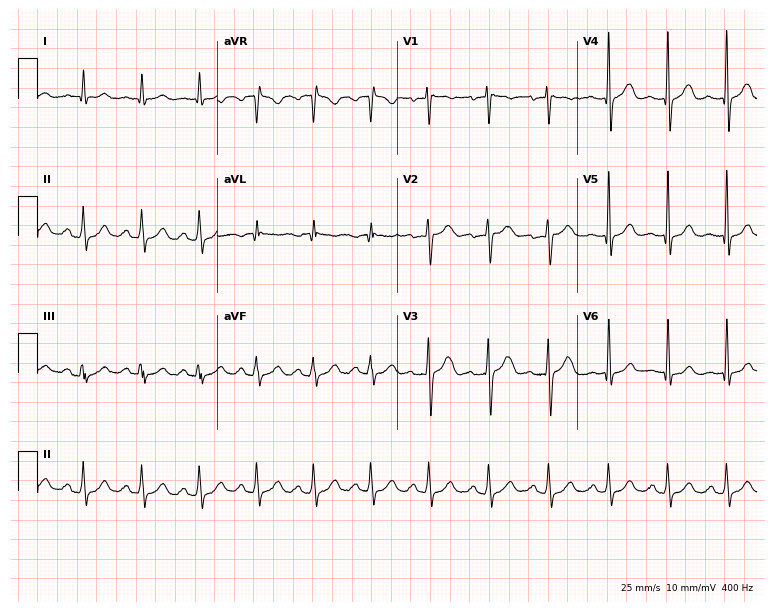
Resting 12-lead electrocardiogram. Patient: a 34-year-old male. Read as a normal ECG.